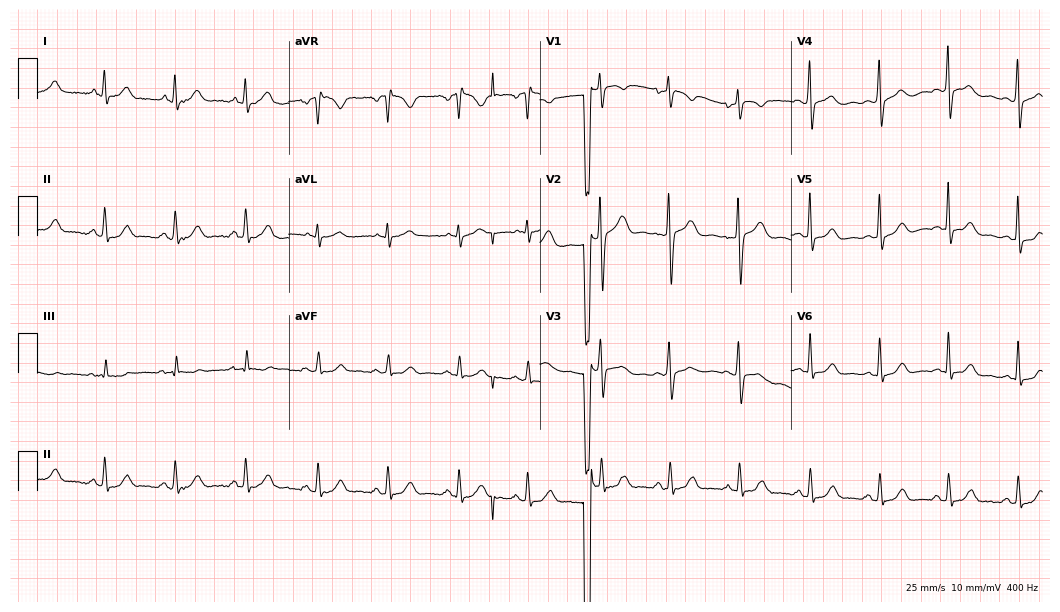
12-lead ECG from a man, 38 years old (10.2-second recording at 400 Hz). Recorded interpretation: within normal limits.